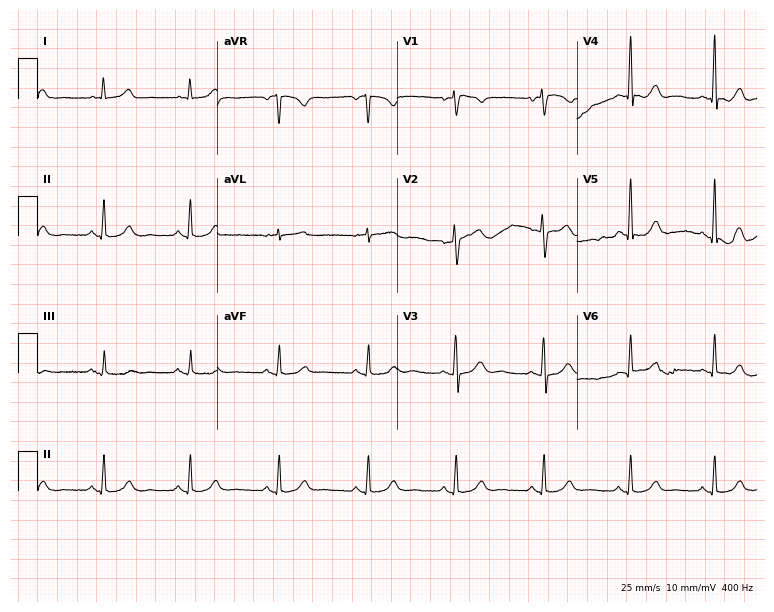
12-lead ECG (7.3-second recording at 400 Hz) from a 61-year-old woman. Labelled as a normal ECG.